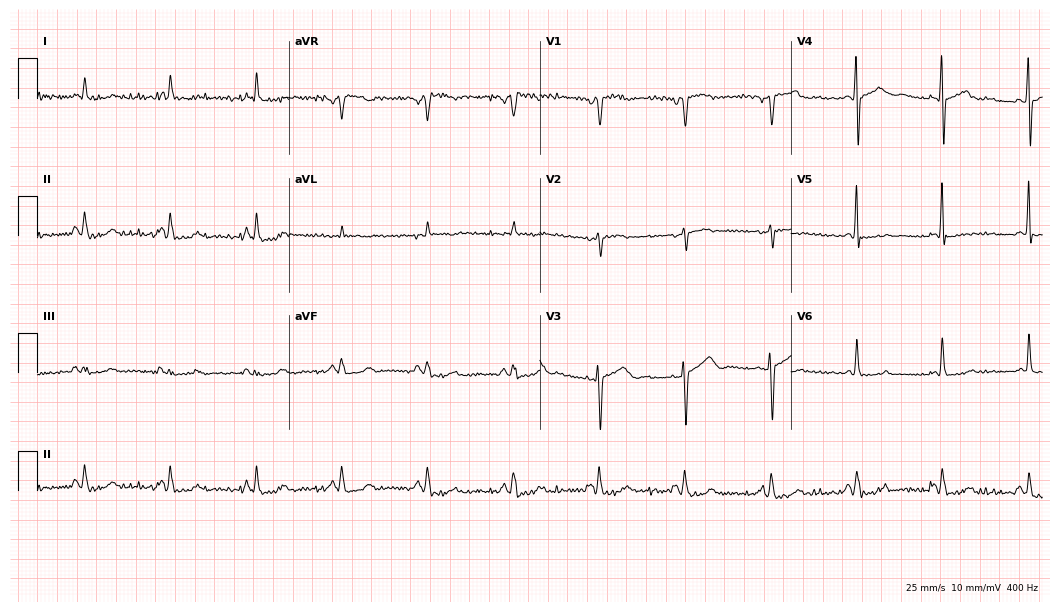
12-lead ECG from a 75-year-old female patient (10.2-second recording at 400 Hz). No first-degree AV block, right bundle branch block, left bundle branch block, sinus bradycardia, atrial fibrillation or sinus tachycardia recorded for this tracing.